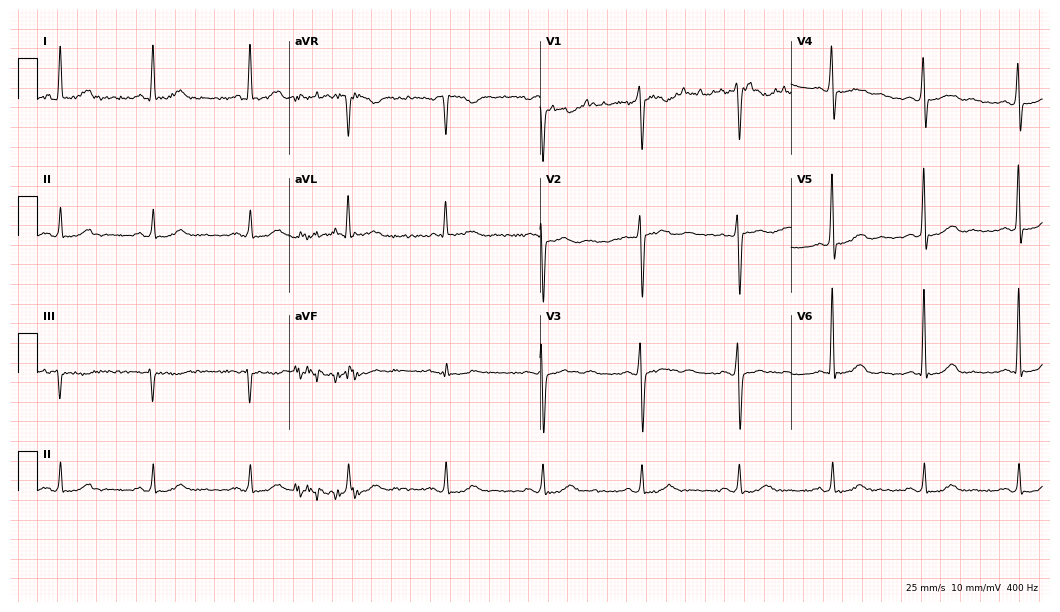
12-lead ECG from a 50-year-old male (10.2-second recording at 400 Hz). Recorded interpretation: within normal limits.